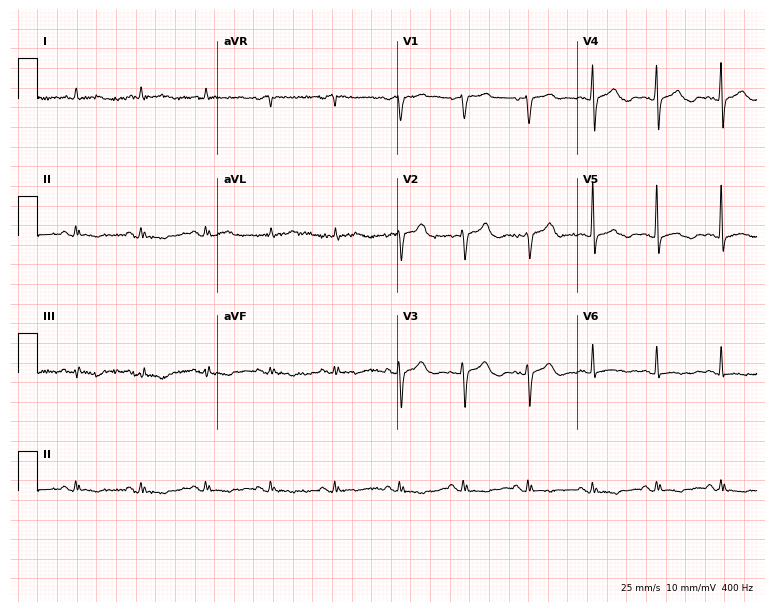
ECG — a female, 72 years old. Screened for six findings — first-degree AV block, right bundle branch block (RBBB), left bundle branch block (LBBB), sinus bradycardia, atrial fibrillation (AF), sinus tachycardia — none is recorded. Only these six findings were labelled.